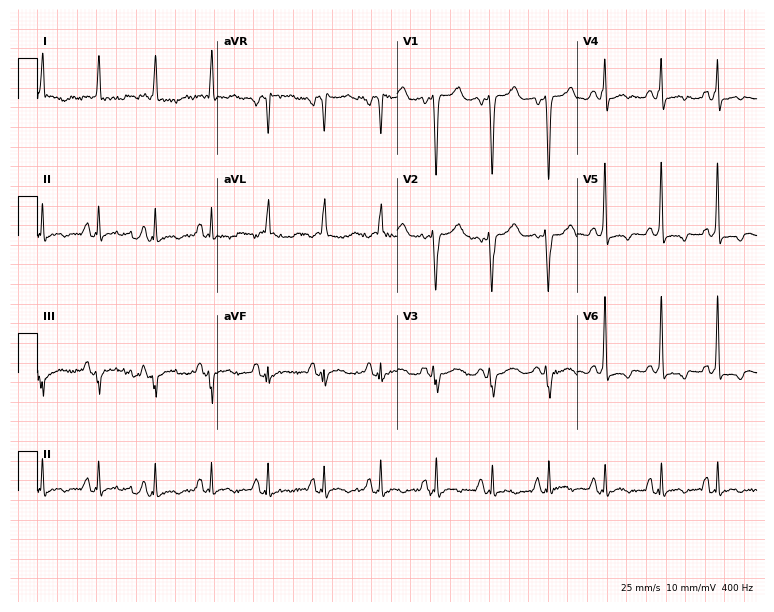
Resting 12-lead electrocardiogram. Patient: a female, 69 years old. None of these six findings is recorded: first-degree AV block, right bundle branch block, left bundle branch block, sinus bradycardia, atrial fibrillation, sinus tachycardia.